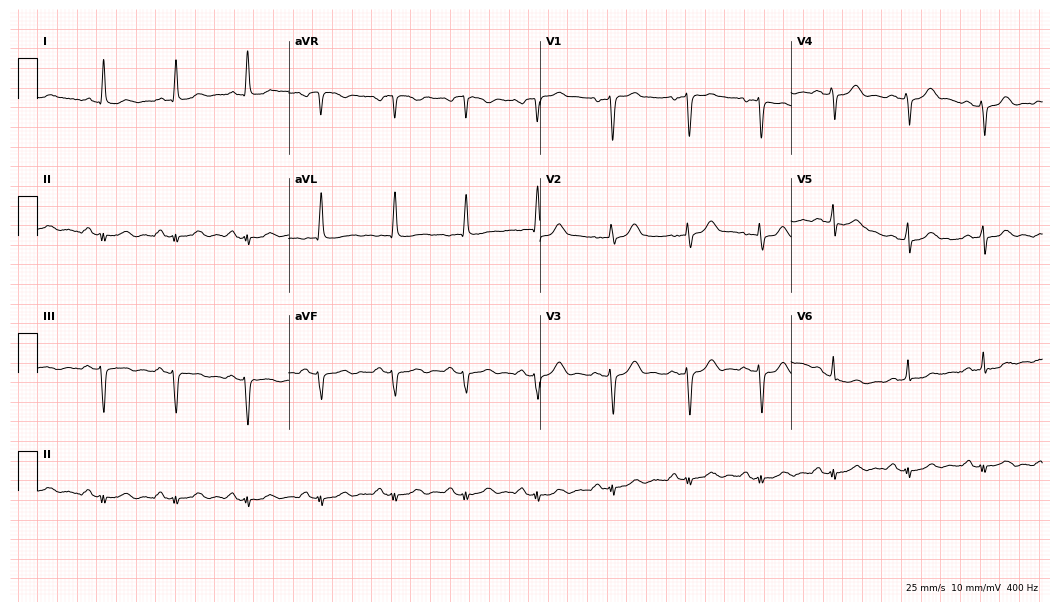
Resting 12-lead electrocardiogram (10.2-second recording at 400 Hz). Patient: a male, 54 years old. None of these six findings is recorded: first-degree AV block, right bundle branch block (RBBB), left bundle branch block (LBBB), sinus bradycardia, atrial fibrillation (AF), sinus tachycardia.